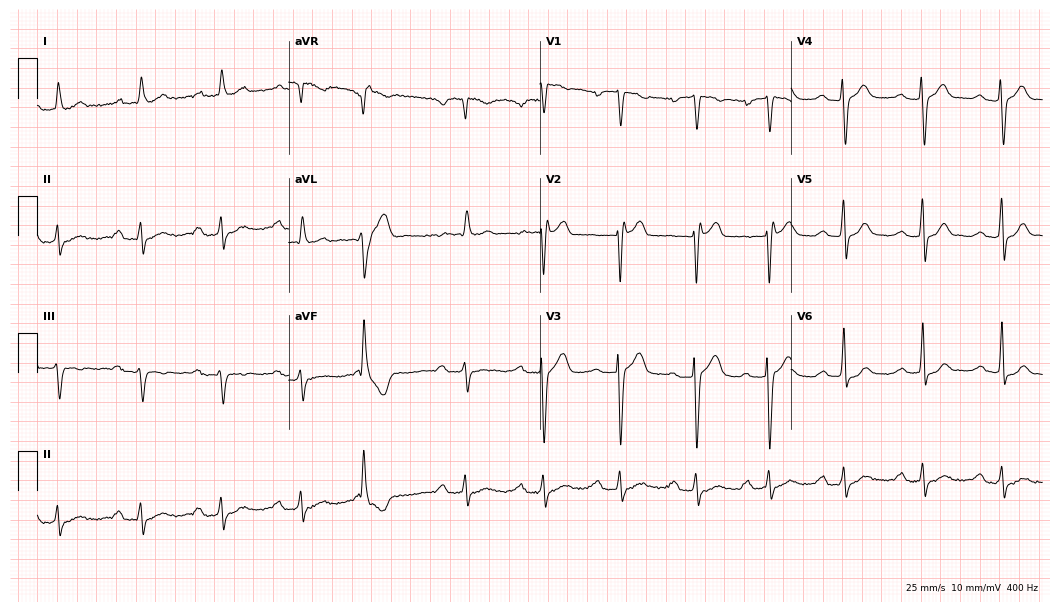
Resting 12-lead electrocardiogram (10.2-second recording at 400 Hz). Patient: a female, 82 years old. The tracing shows first-degree AV block.